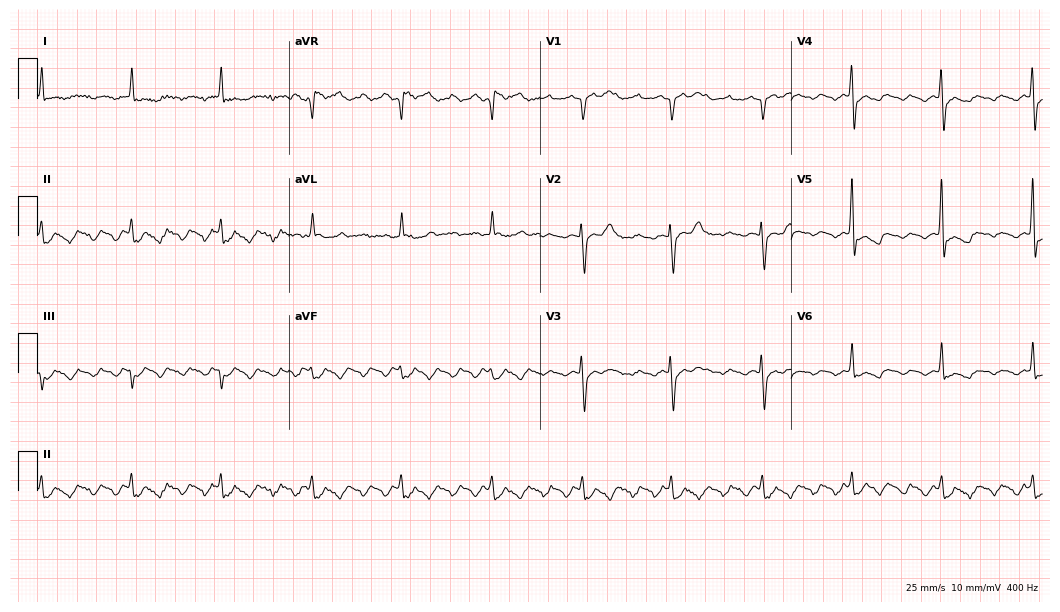
12-lead ECG from a 72-year-old male. No first-degree AV block, right bundle branch block, left bundle branch block, sinus bradycardia, atrial fibrillation or sinus tachycardia recorded for this tracing. Only these six findings were labelled.